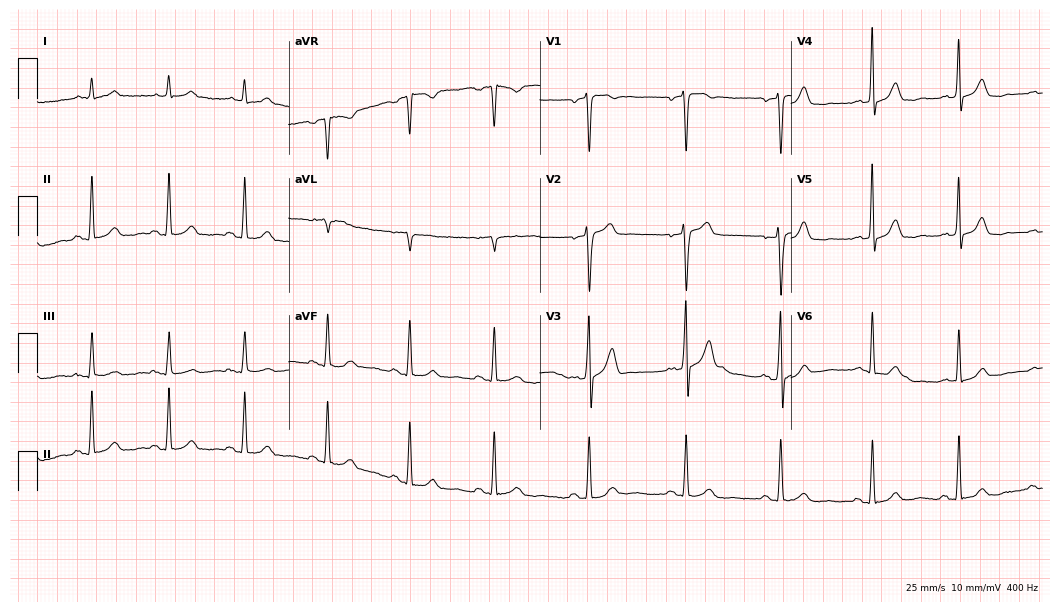
Standard 12-lead ECG recorded from a male, 62 years old (10.2-second recording at 400 Hz). None of these six findings is recorded: first-degree AV block, right bundle branch block, left bundle branch block, sinus bradycardia, atrial fibrillation, sinus tachycardia.